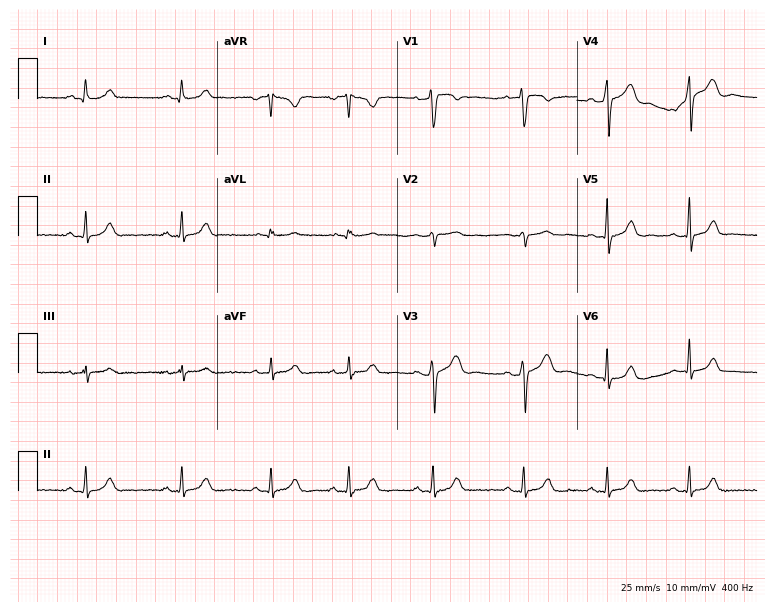
Electrocardiogram, a 20-year-old woman. Overall reading on record: normal ECG.